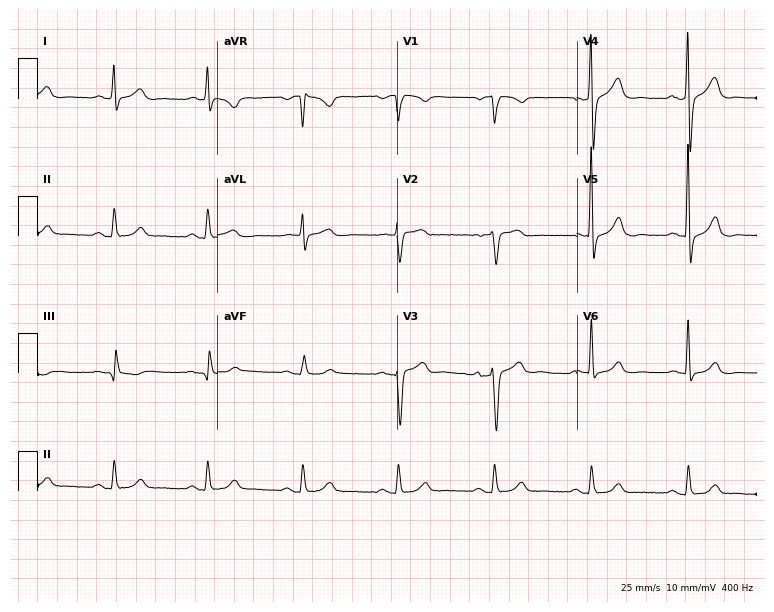
Resting 12-lead electrocardiogram. Patient: a 66-year-old man. None of these six findings is recorded: first-degree AV block, right bundle branch block, left bundle branch block, sinus bradycardia, atrial fibrillation, sinus tachycardia. Only these six findings were labelled.